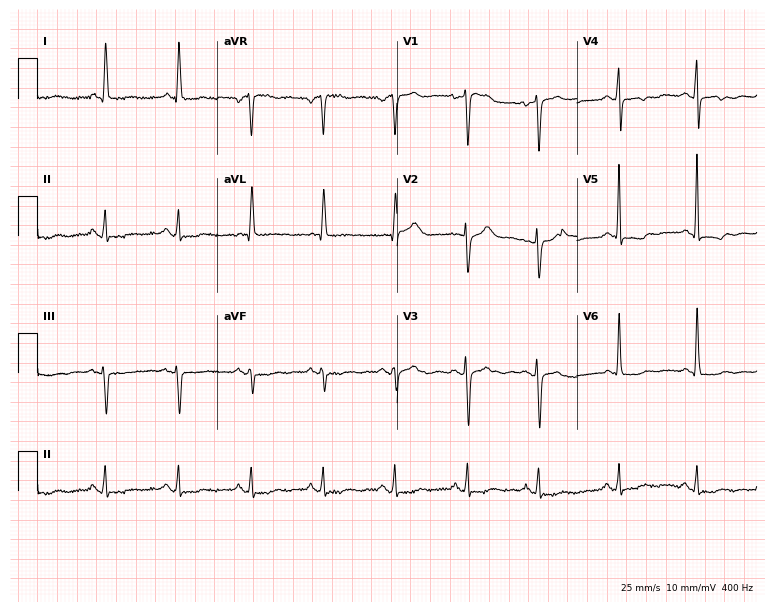
Resting 12-lead electrocardiogram (7.3-second recording at 400 Hz). Patient: a woman, 84 years old. None of these six findings is recorded: first-degree AV block, right bundle branch block (RBBB), left bundle branch block (LBBB), sinus bradycardia, atrial fibrillation (AF), sinus tachycardia.